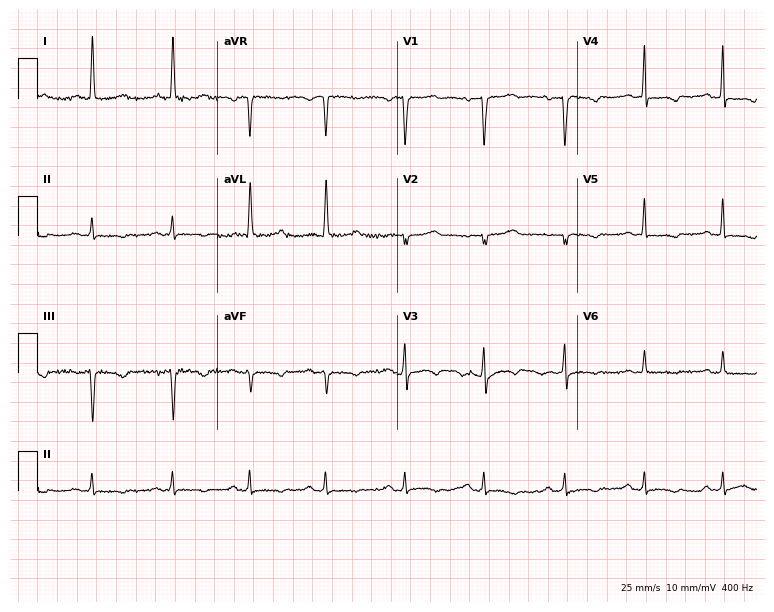
Electrocardiogram, a female patient, 62 years old. Of the six screened findings (first-degree AV block, right bundle branch block, left bundle branch block, sinus bradycardia, atrial fibrillation, sinus tachycardia), none is recorded. Only these six findings were labelled.